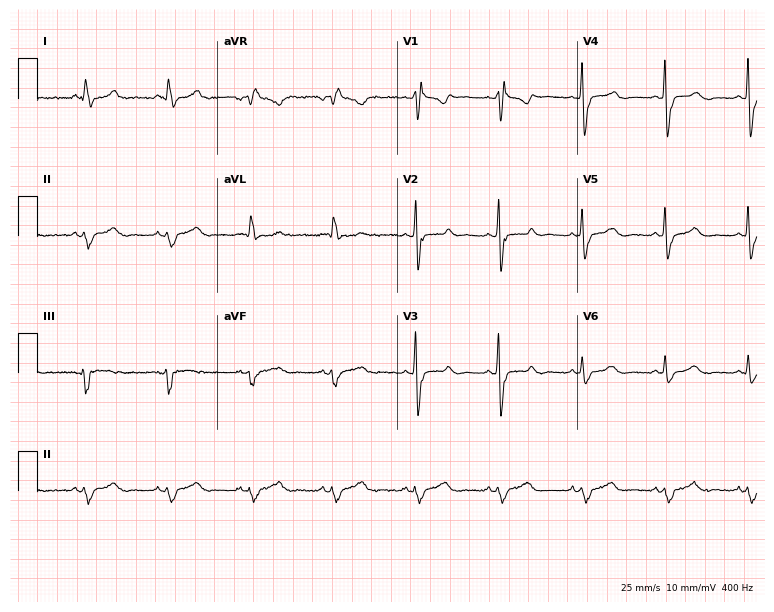
Resting 12-lead electrocardiogram (7.3-second recording at 400 Hz). Patient: a 57-year-old female. The tracing shows right bundle branch block.